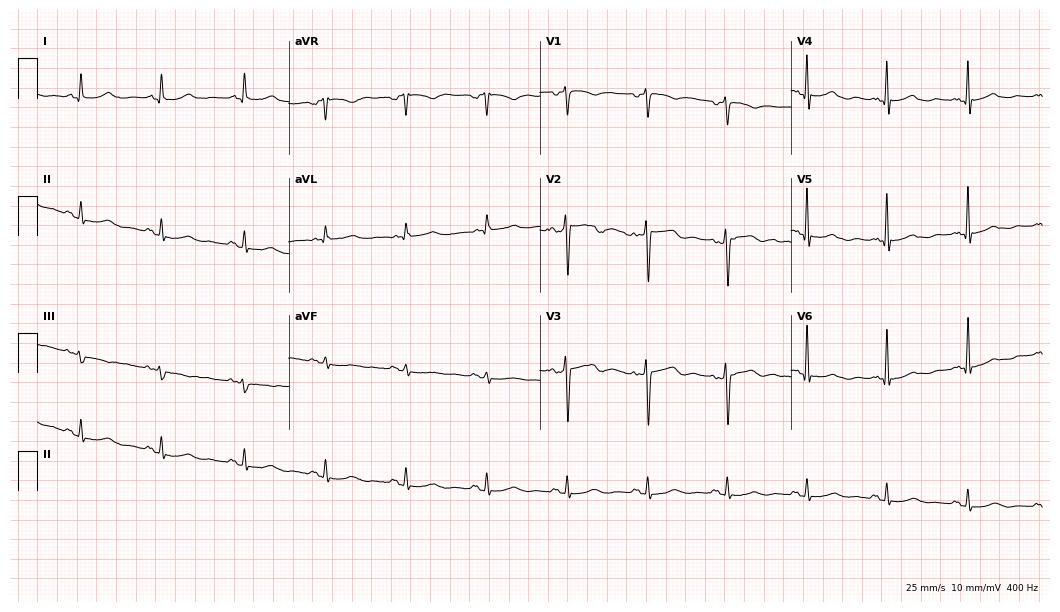
12-lead ECG (10.2-second recording at 400 Hz) from a man, 60 years old. Labelled as a normal ECG.